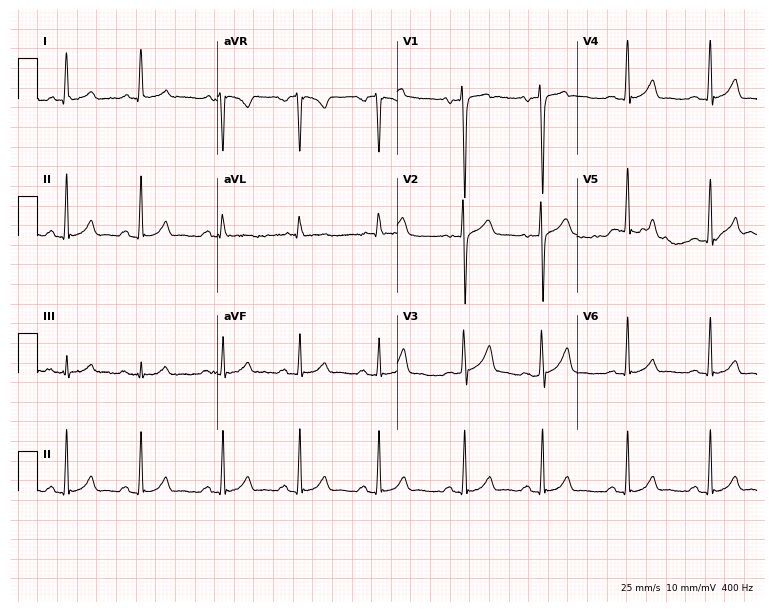
12-lead ECG from a 26-year-old male patient. Recorded interpretation: within normal limits.